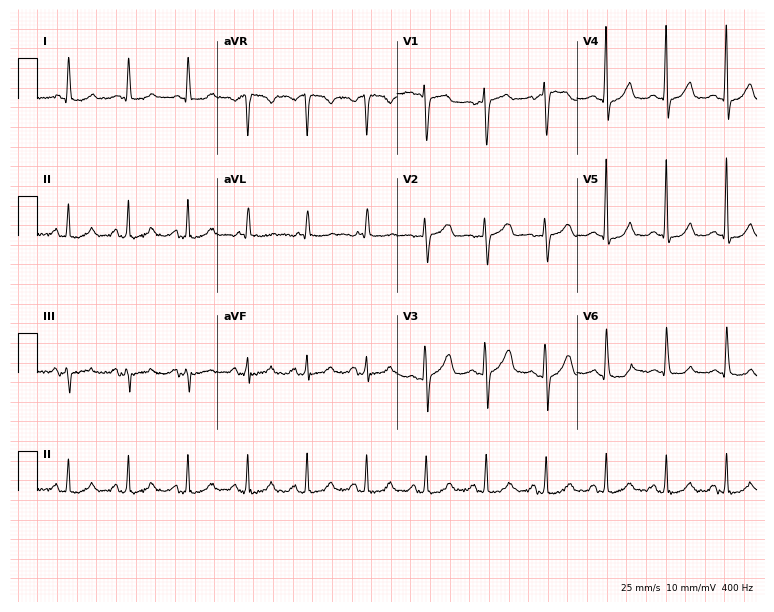
Resting 12-lead electrocardiogram (7.3-second recording at 400 Hz). Patient: a 62-year-old female. None of these six findings is recorded: first-degree AV block, right bundle branch block, left bundle branch block, sinus bradycardia, atrial fibrillation, sinus tachycardia. Only these six findings were labelled.